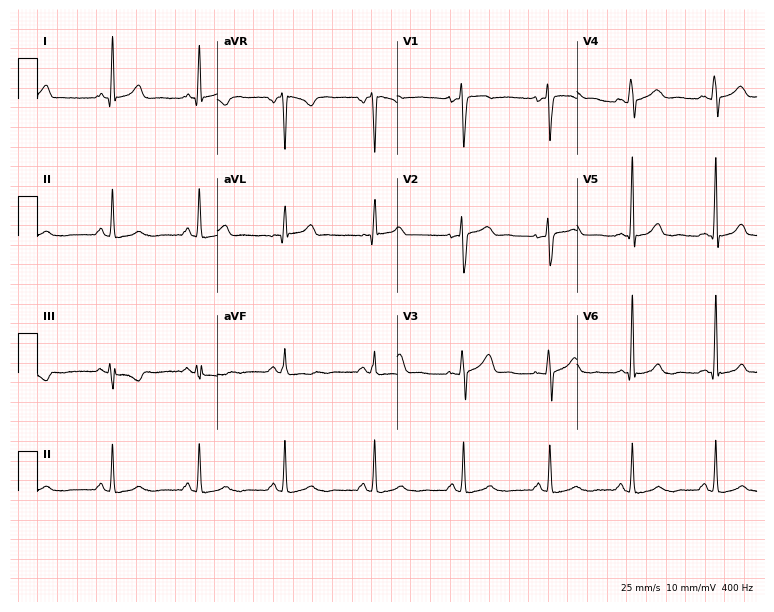
Standard 12-lead ECG recorded from a 43-year-old woman (7.3-second recording at 400 Hz). Read as a normal ECG.